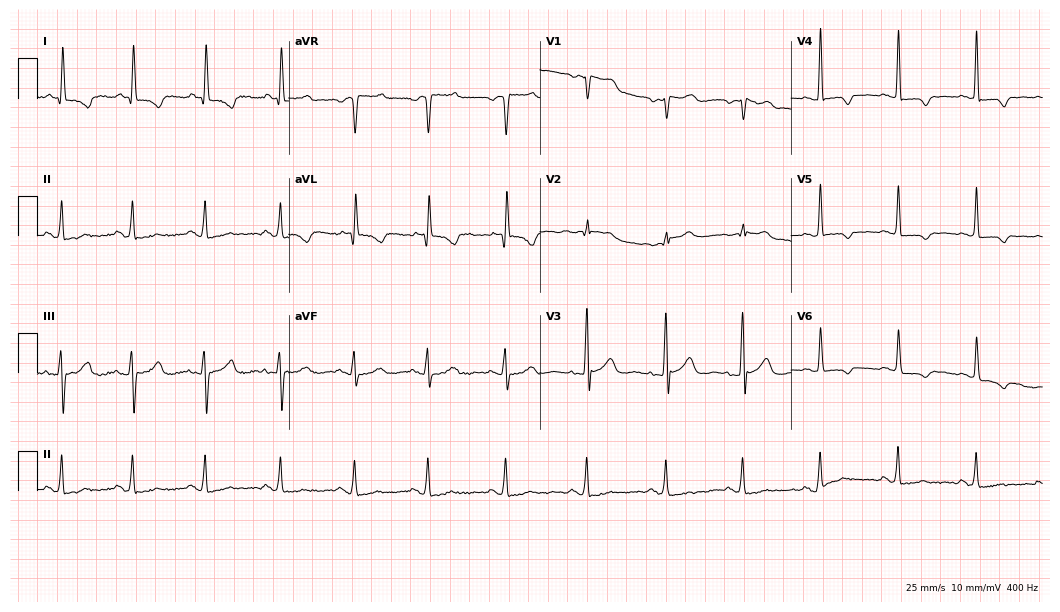
ECG (10.2-second recording at 400 Hz) — a female, 71 years old. Screened for six findings — first-degree AV block, right bundle branch block, left bundle branch block, sinus bradycardia, atrial fibrillation, sinus tachycardia — none is recorded. Only these six findings were labelled.